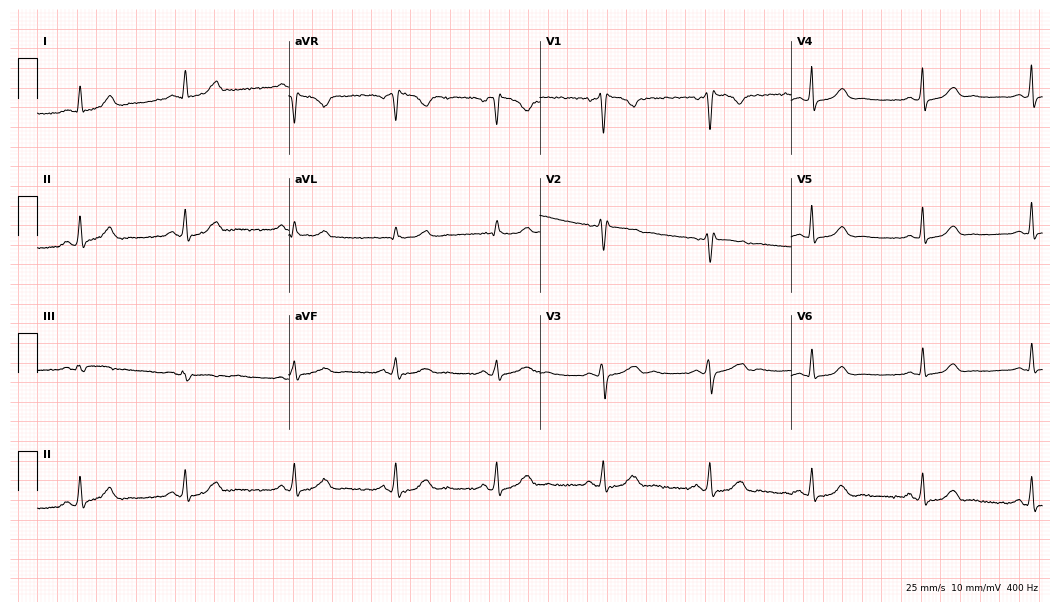
Electrocardiogram (10.2-second recording at 400 Hz), a 37-year-old female patient. Of the six screened findings (first-degree AV block, right bundle branch block, left bundle branch block, sinus bradycardia, atrial fibrillation, sinus tachycardia), none is recorded. Other findings, if any, are not listed.